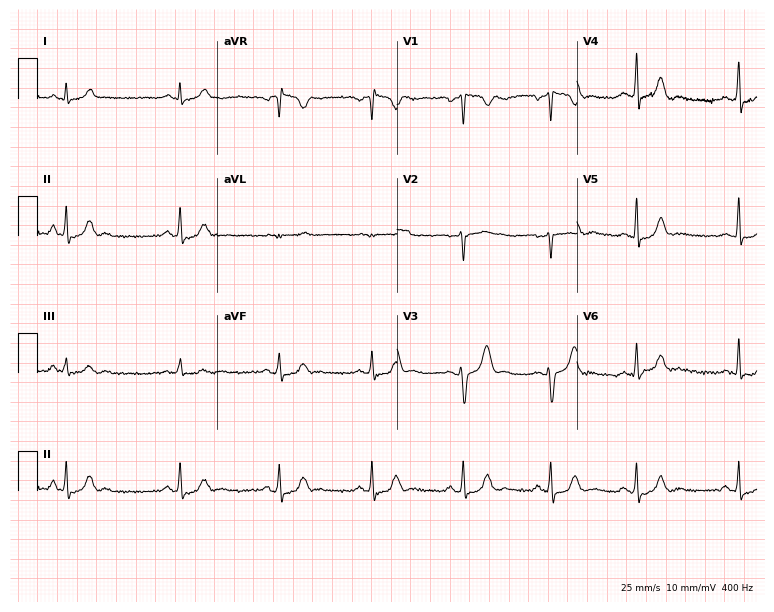
12-lead ECG (7.3-second recording at 400 Hz) from a 33-year-old woman. Labelled as a normal ECG.